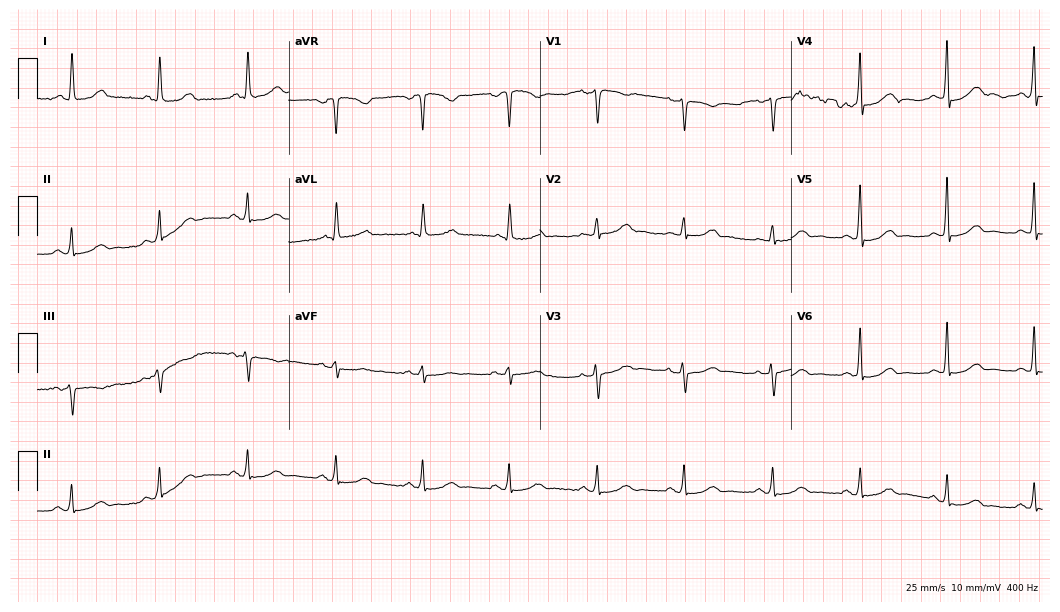
Standard 12-lead ECG recorded from a female patient, 61 years old (10.2-second recording at 400 Hz). Read as a normal ECG.